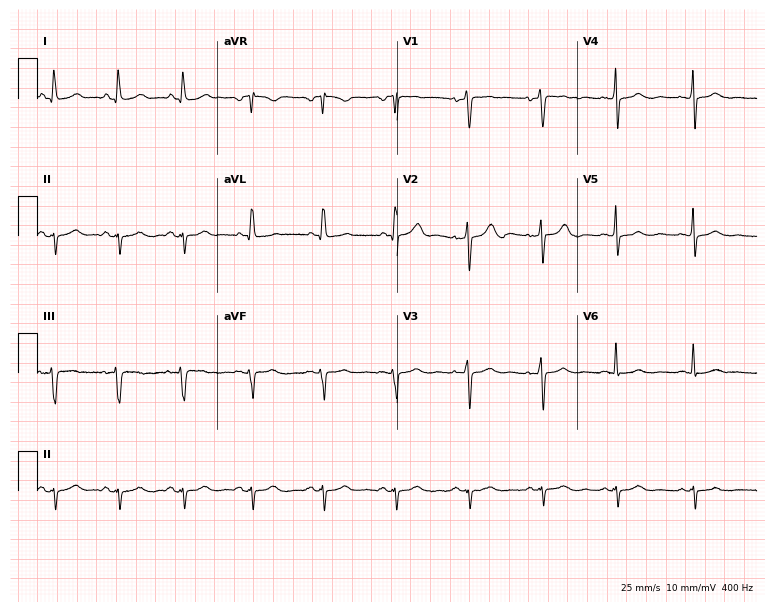
12-lead ECG from a 40-year-old female patient (7.3-second recording at 400 Hz). No first-degree AV block, right bundle branch block, left bundle branch block, sinus bradycardia, atrial fibrillation or sinus tachycardia recorded for this tracing. Only these six findings were labelled.